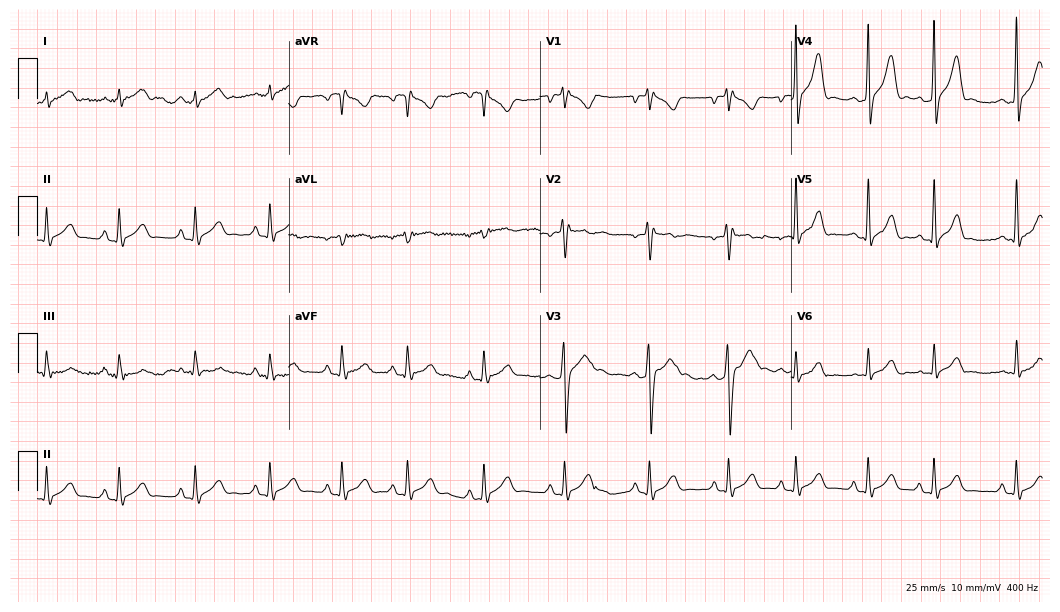
ECG (10.2-second recording at 400 Hz) — a 20-year-old male. Labelled as a normal ECG.